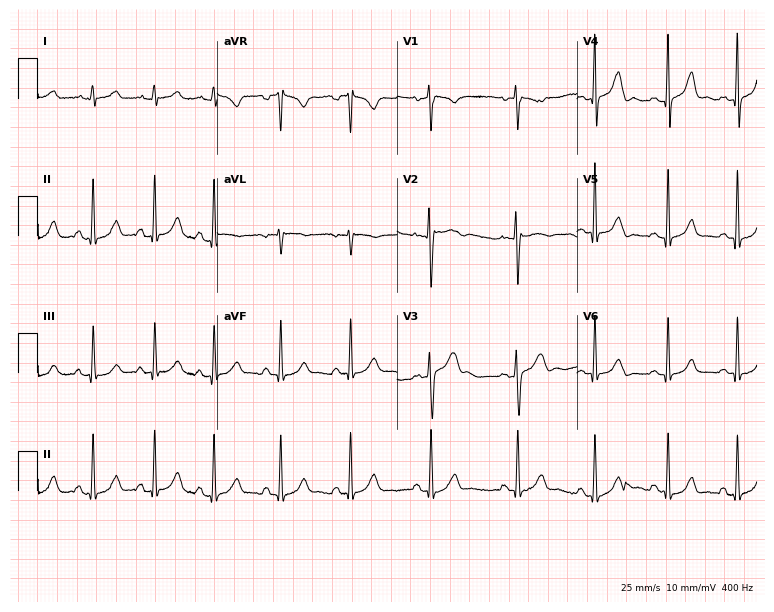
12-lead ECG from a 29-year-old male (7.3-second recording at 400 Hz). No first-degree AV block, right bundle branch block (RBBB), left bundle branch block (LBBB), sinus bradycardia, atrial fibrillation (AF) or sinus tachycardia recorded for this tracing.